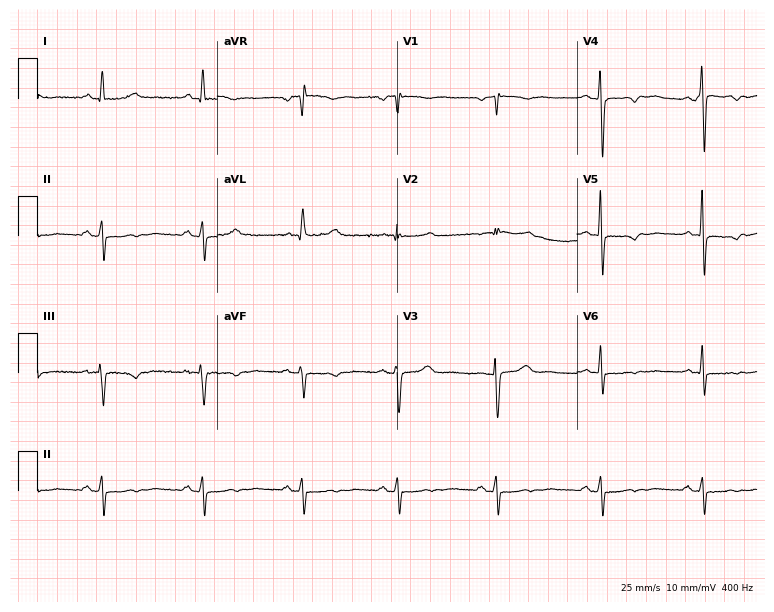
Electrocardiogram, a female, 70 years old. Of the six screened findings (first-degree AV block, right bundle branch block (RBBB), left bundle branch block (LBBB), sinus bradycardia, atrial fibrillation (AF), sinus tachycardia), none is recorded.